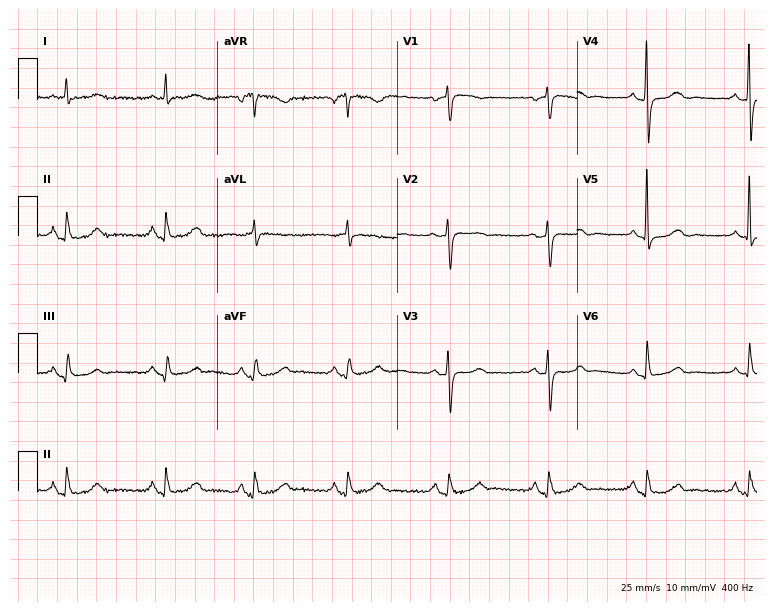
Standard 12-lead ECG recorded from a woman, 68 years old (7.3-second recording at 400 Hz). Read as a normal ECG.